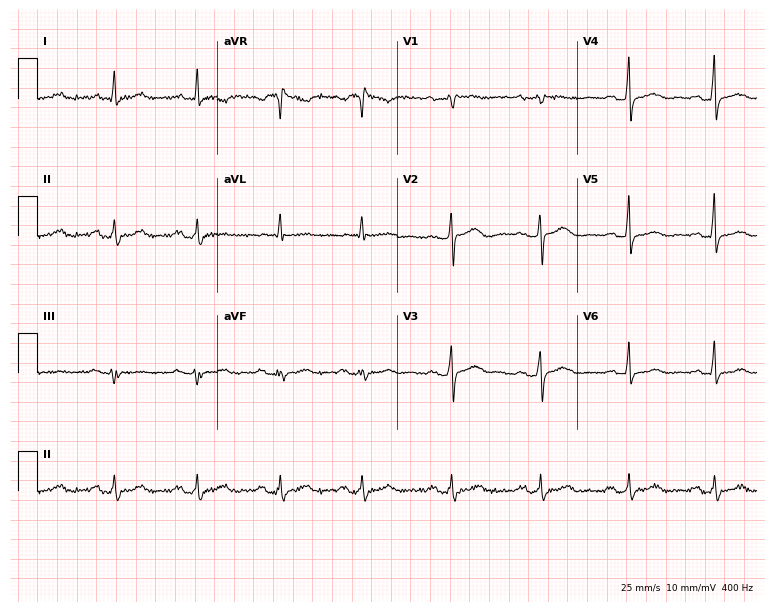
12-lead ECG from a female patient, 66 years old. No first-degree AV block, right bundle branch block, left bundle branch block, sinus bradycardia, atrial fibrillation or sinus tachycardia recorded for this tracing.